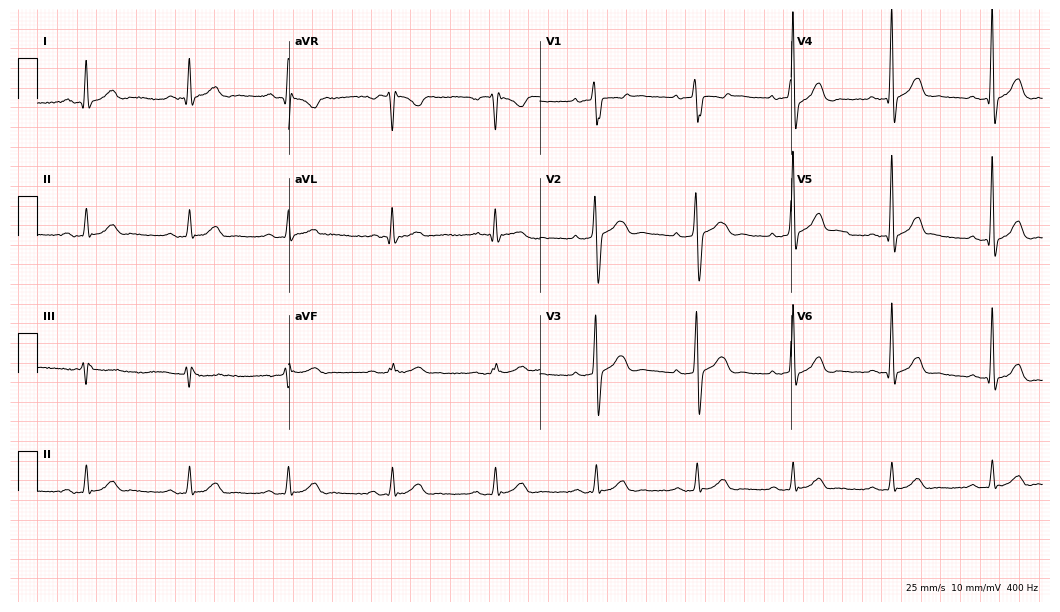
ECG — a 26-year-old female. Screened for six findings — first-degree AV block, right bundle branch block (RBBB), left bundle branch block (LBBB), sinus bradycardia, atrial fibrillation (AF), sinus tachycardia — none is recorded.